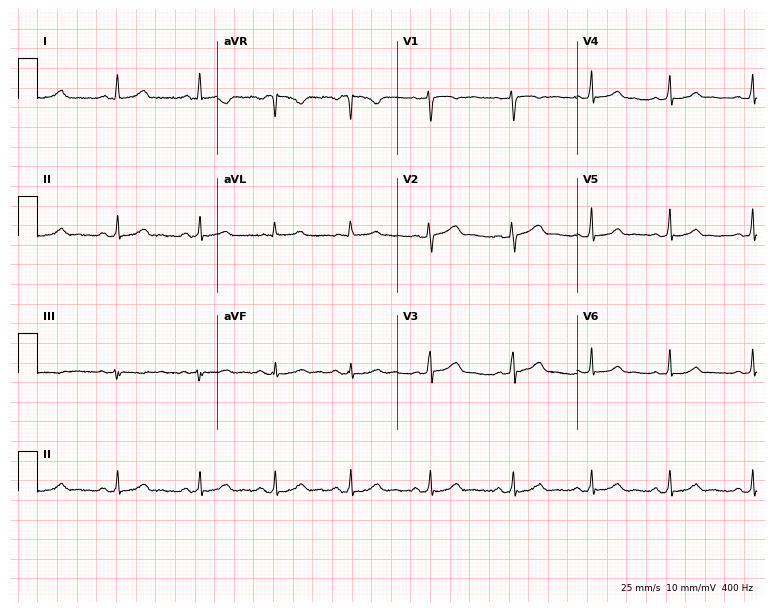
Resting 12-lead electrocardiogram. Patient: a 31-year-old woman. None of these six findings is recorded: first-degree AV block, right bundle branch block, left bundle branch block, sinus bradycardia, atrial fibrillation, sinus tachycardia. Other findings, if any, are not listed.